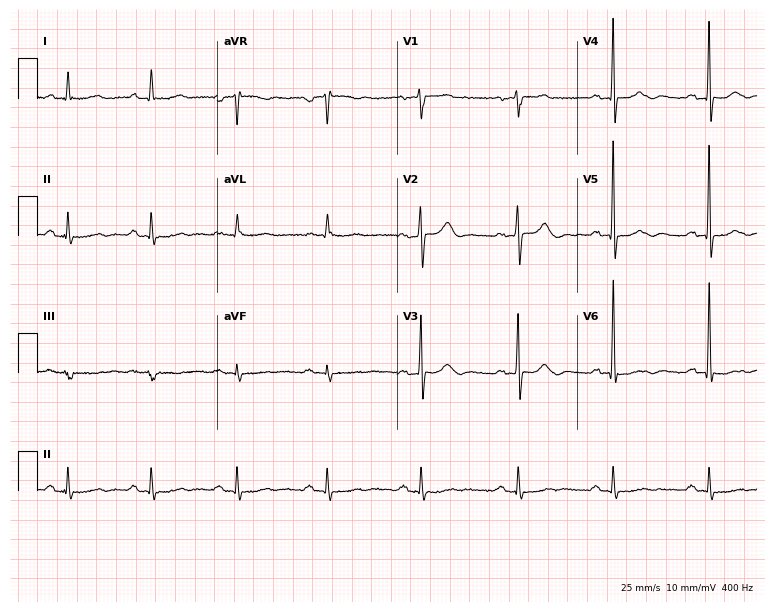
Standard 12-lead ECG recorded from a man, 72 years old (7.3-second recording at 400 Hz). None of these six findings is recorded: first-degree AV block, right bundle branch block, left bundle branch block, sinus bradycardia, atrial fibrillation, sinus tachycardia.